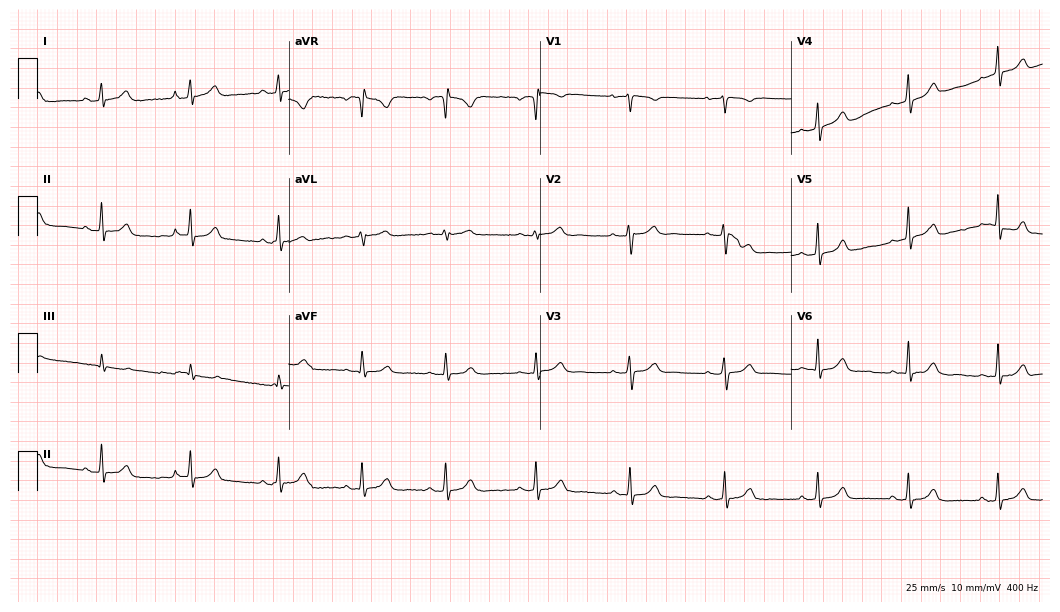
Resting 12-lead electrocardiogram (10.2-second recording at 400 Hz). Patient: a 34-year-old female. None of these six findings is recorded: first-degree AV block, right bundle branch block, left bundle branch block, sinus bradycardia, atrial fibrillation, sinus tachycardia. Other findings, if any, are not listed.